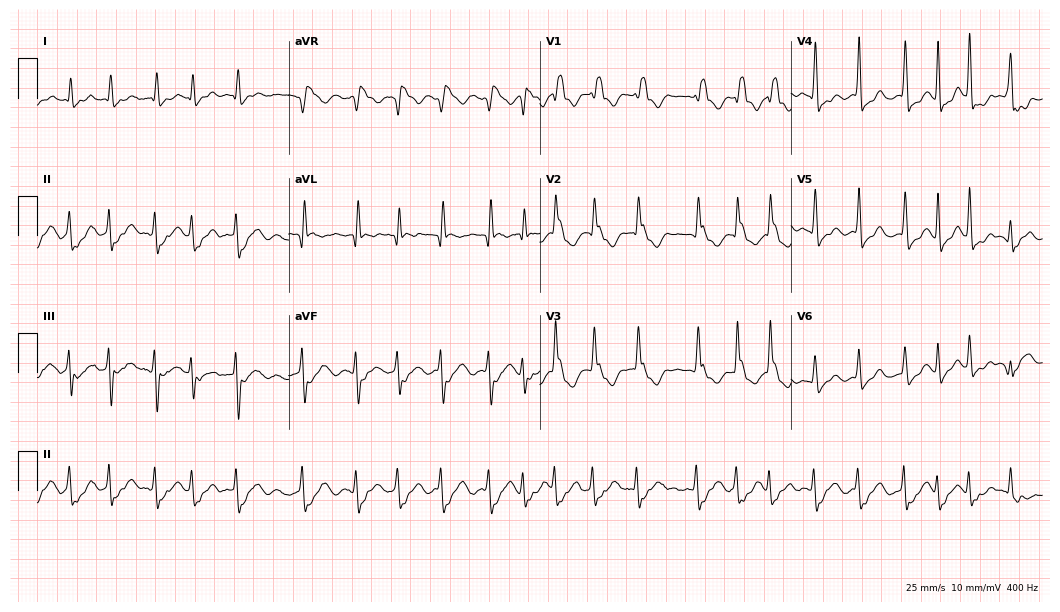
Resting 12-lead electrocardiogram. Patient: a 69-year-old woman. The tracing shows right bundle branch block, atrial fibrillation.